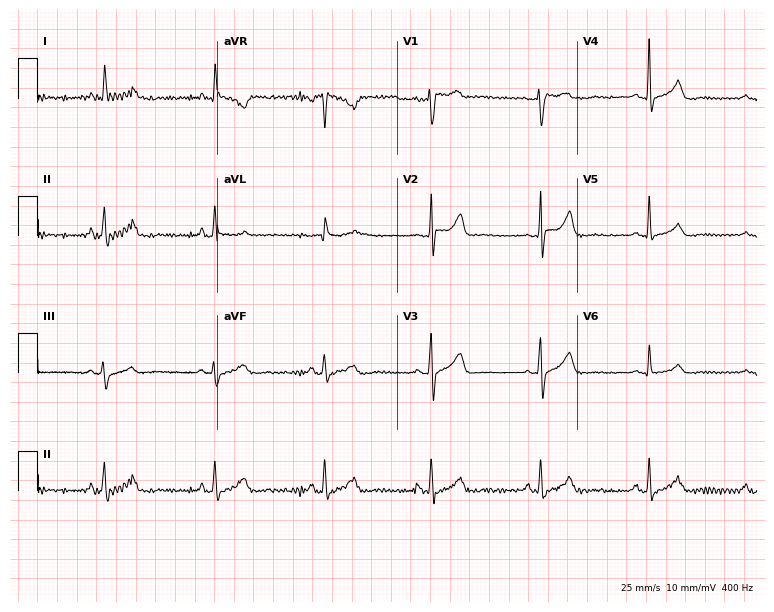
ECG (7.3-second recording at 400 Hz) — a 64-year-old female. Screened for six findings — first-degree AV block, right bundle branch block, left bundle branch block, sinus bradycardia, atrial fibrillation, sinus tachycardia — none is recorded. Other findings, if any, are not listed.